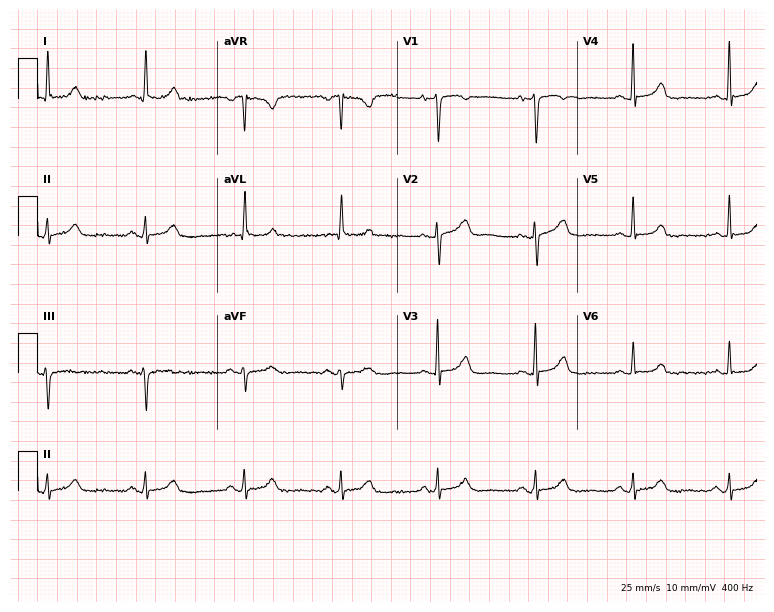
Resting 12-lead electrocardiogram. Patient: a female, 74 years old. None of these six findings is recorded: first-degree AV block, right bundle branch block, left bundle branch block, sinus bradycardia, atrial fibrillation, sinus tachycardia. Only these six findings were labelled.